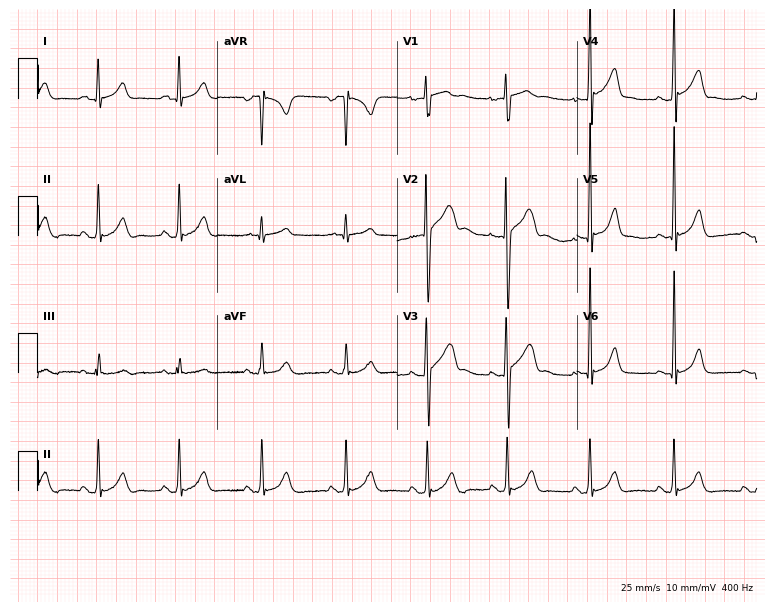
Standard 12-lead ECG recorded from a 22-year-old man (7.3-second recording at 400 Hz). Read as a normal ECG.